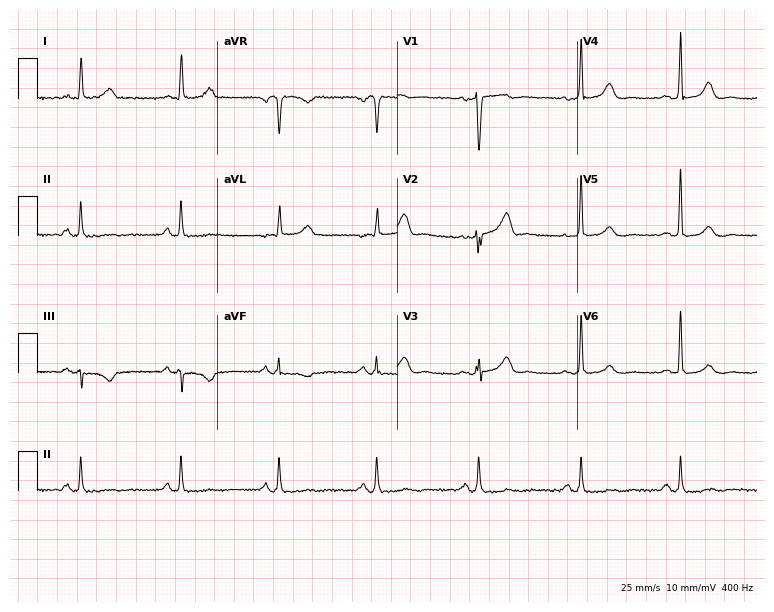
12-lead ECG from a woman, 50 years old (7.3-second recording at 400 Hz). No first-degree AV block, right bundle branch block, left bundle branch block, sinus bradycardia, atrial fibrillation or sinus tachycardia recorded for this tracing. Findings outside these six are not listed.